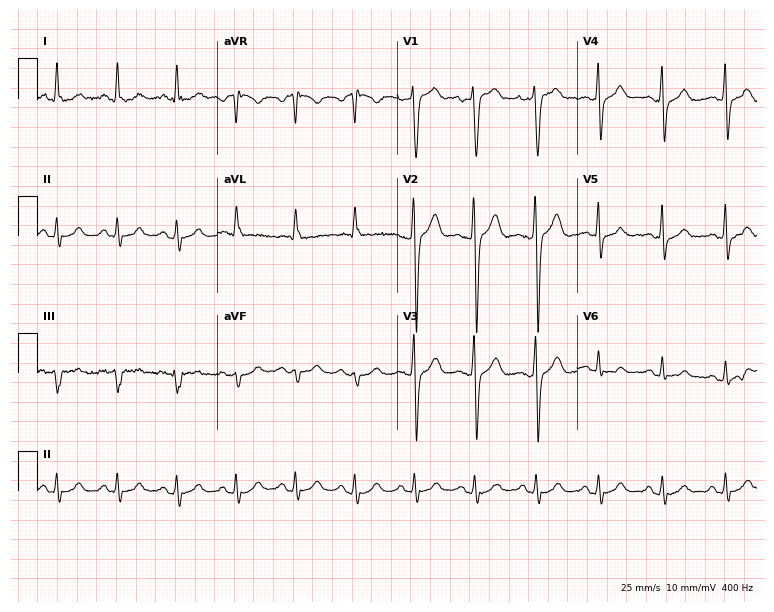
12-lead ECG from a 34-year-old man. No first-degree AV block, right bundle branch block, left bundle branch block, sinus bradycardia, atrial fibrillation or sinus tachycardia recorded for this tracing. Only these six findings were labelled.